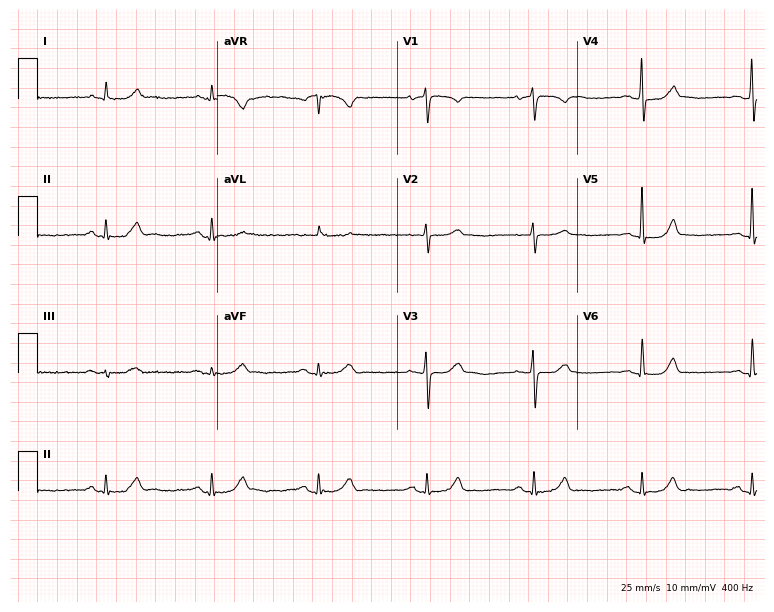
Standard 12-lead ECG recorded from a female, 60 years old. Read as a normal ECG.